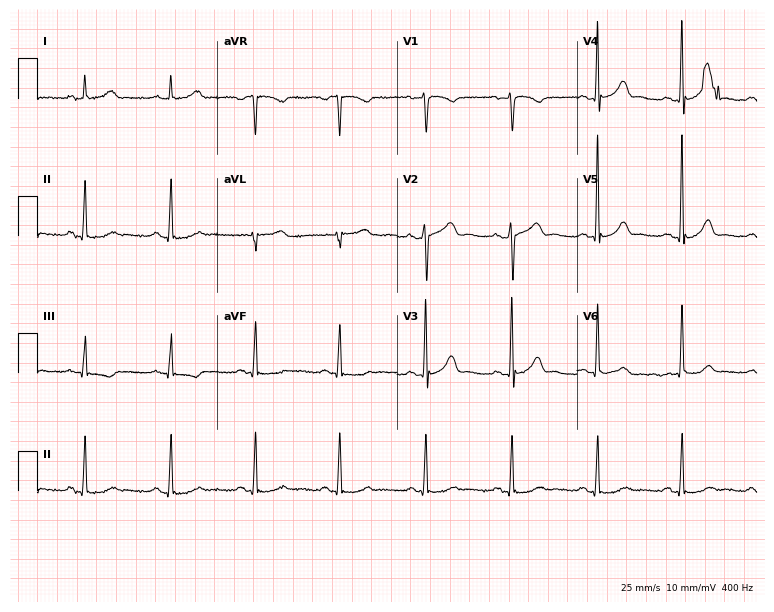
12-lead ECG from a 56-year-old female patient (7.3-second recording at 400 Hz). No first-degree AV block, right bundle branch block (RBBB), left bundle branch block (LBBB), sinus bradycardia, atrial fibrillation (AF) or sinus tachycardia recorded for this tracing. Findings outside these six are not listed.